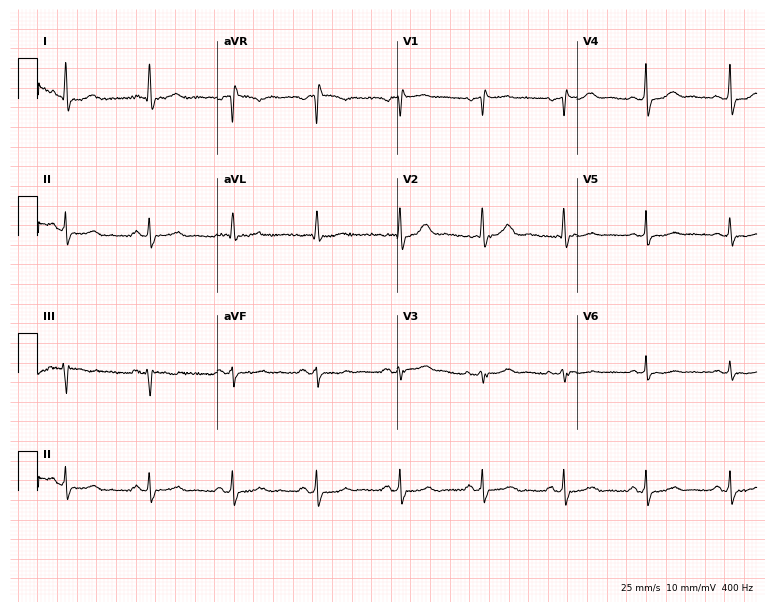
12-lead ECG (7.3-second recording at 400 Hz) from a 62-year-old woman. Labelled as a normal ECG.